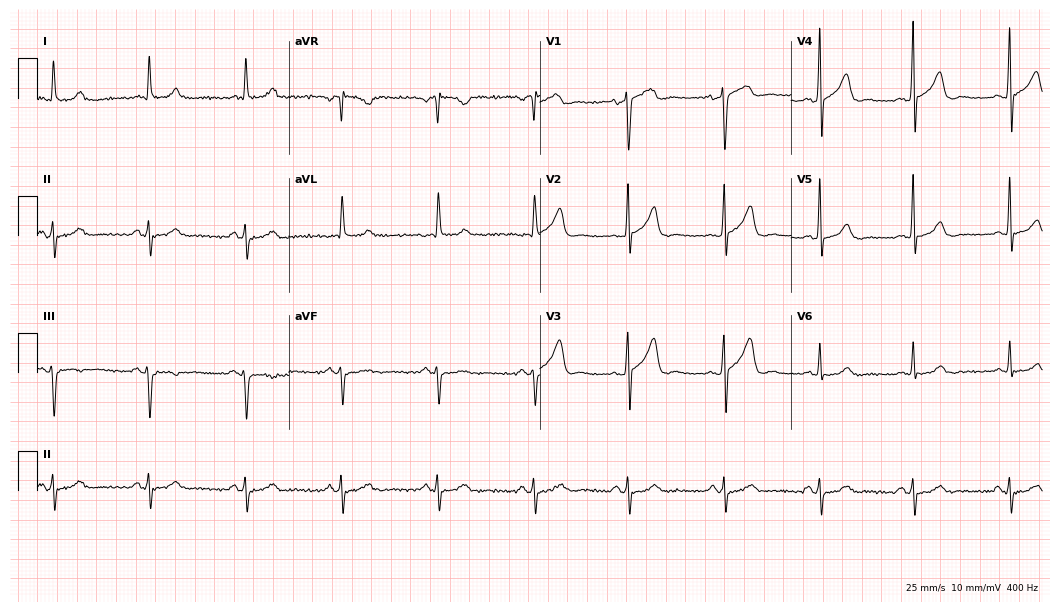
Standard 12-lead ECG recorded from a 66-year-old male patient. None of these six findings is recorded: first-degree AV block, right bundle branch block, left bundle branch block, sinus bradycardia, atrial fibrillation, sinus tachycardia. Other findings, if any, are not listed.